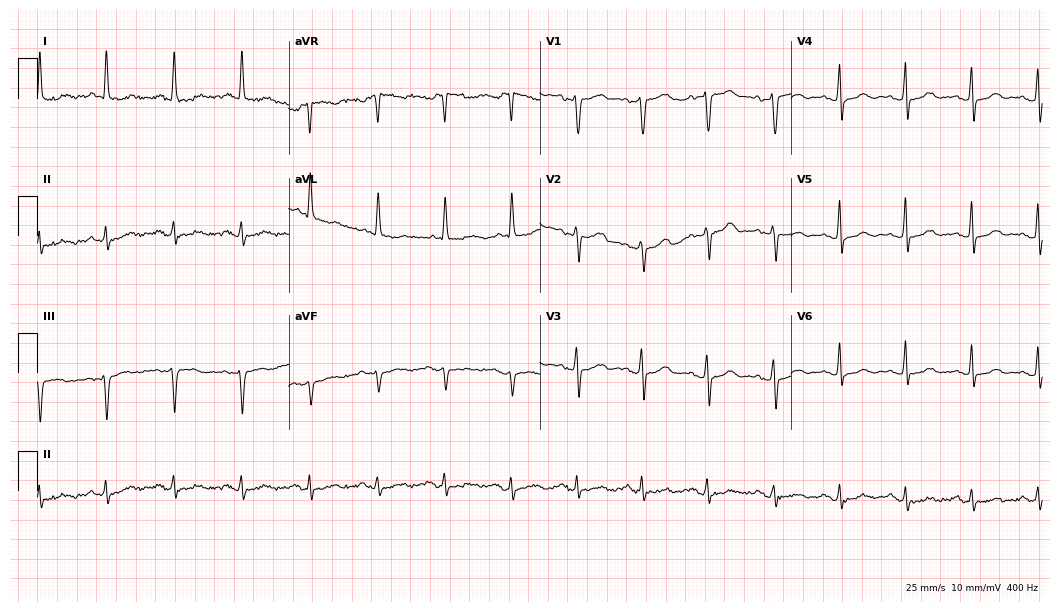
Standard 12-lead ECG recorded from a 66-year-old female (10.2-second recording at 400 Hz). None of these six findings is recorded: first-degree AV block, right bundle branch block, left bundle branch block, sinus bradycardia, atrial fibrillation, sinus tachycardia.